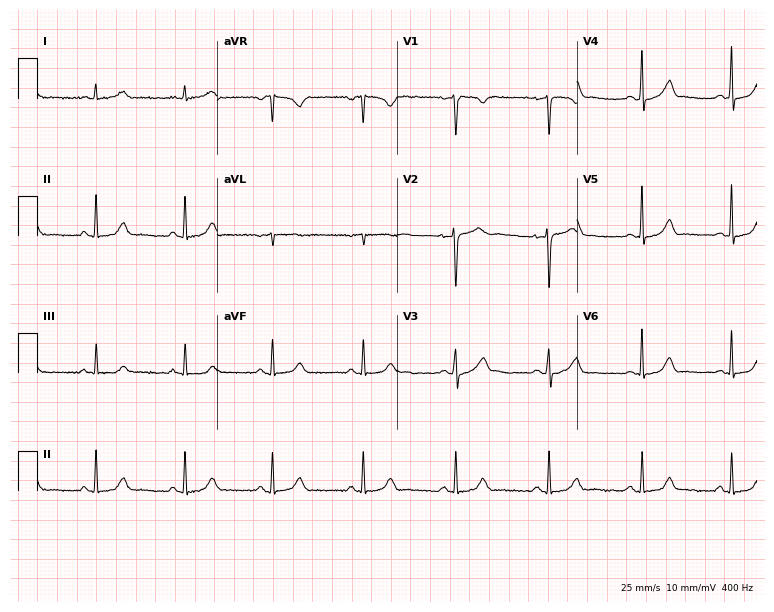
Standard 12-lead ECG recorded from a female patient, 42 years old (7.3-second recording at 400 Hz). None of these six findings is recorded: first-degree AV block, right bundle branch block, left bundle branch block, sinus bradycardia, atrial fibrillation, sinus tachycardia. Only these six findings were labelled.